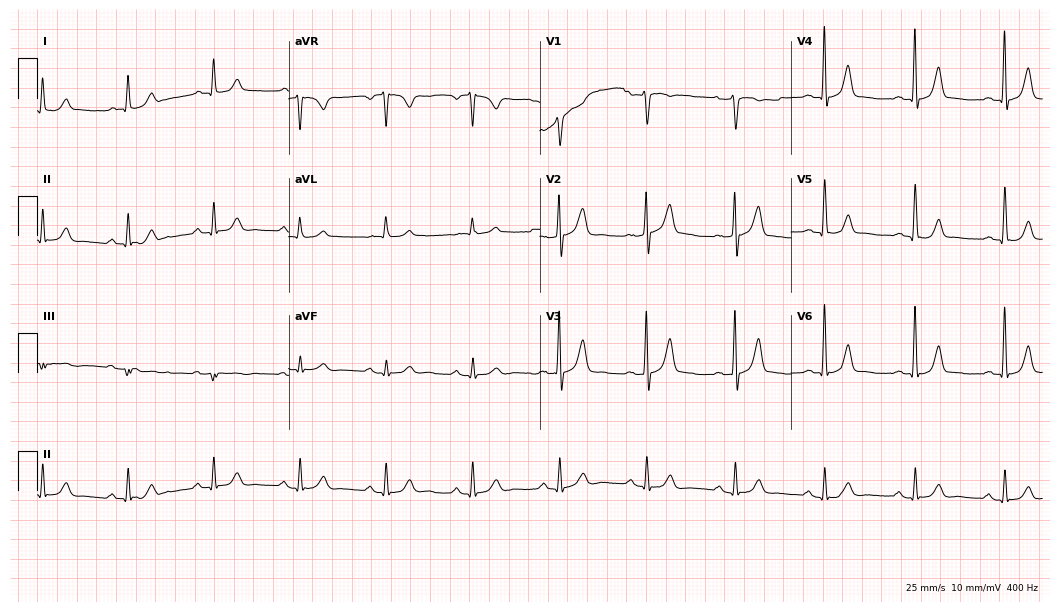
12-lead ECG from a male patient, 70 years old. Recorded interpretation: within normal limits.